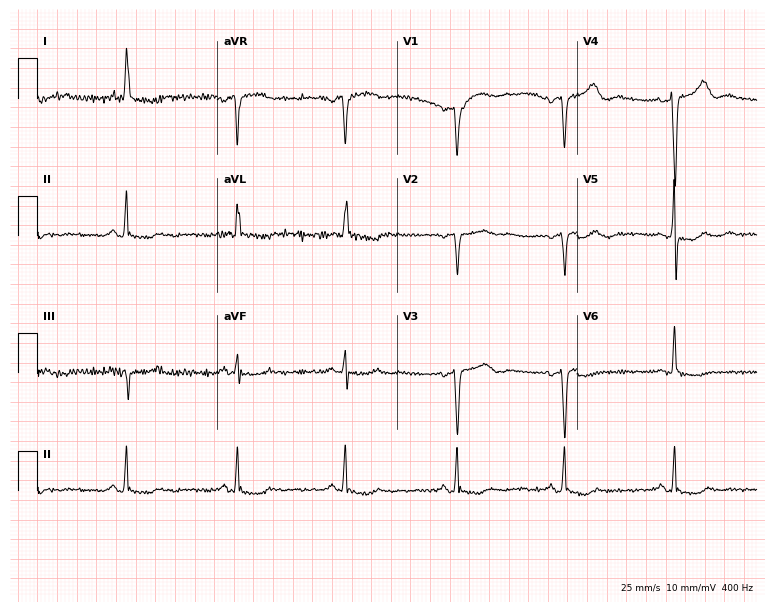
Resting 12-lead electrocardiogram (7.3-second recording at 400 Hz). Patient: a woman, 67 years old. None of these six findings is recorded: first-degree AV block, right bundle branch block, left bundle branch block, sinus bradycardia, atrial fibrillation, sinus tachycardia.